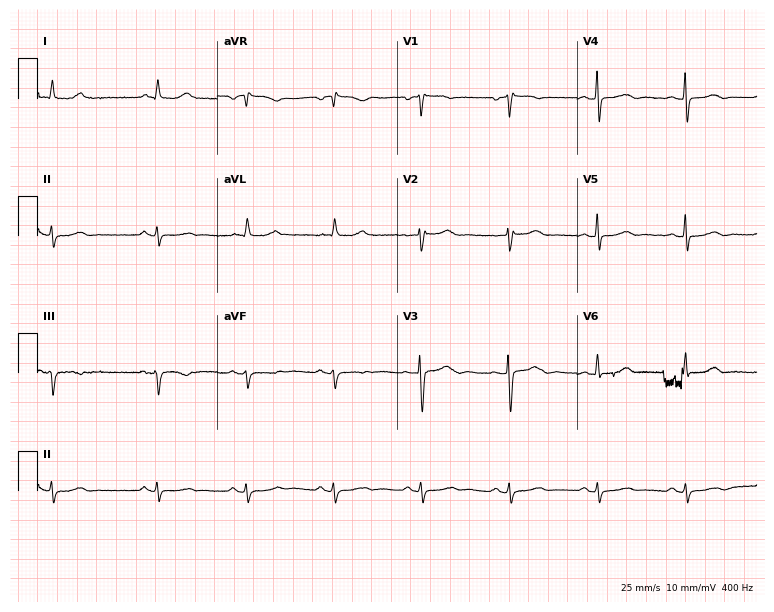
12-lead ECG from a woman, 57 years old (7.3-second recording at 400 Hz). No first-degree AV block, right bundle branch block, left bundle branch block, sinus bradycardia, atrial fibrillation or sinus tachycardia recorded for this tracing. Other findings, if any, are not listed.